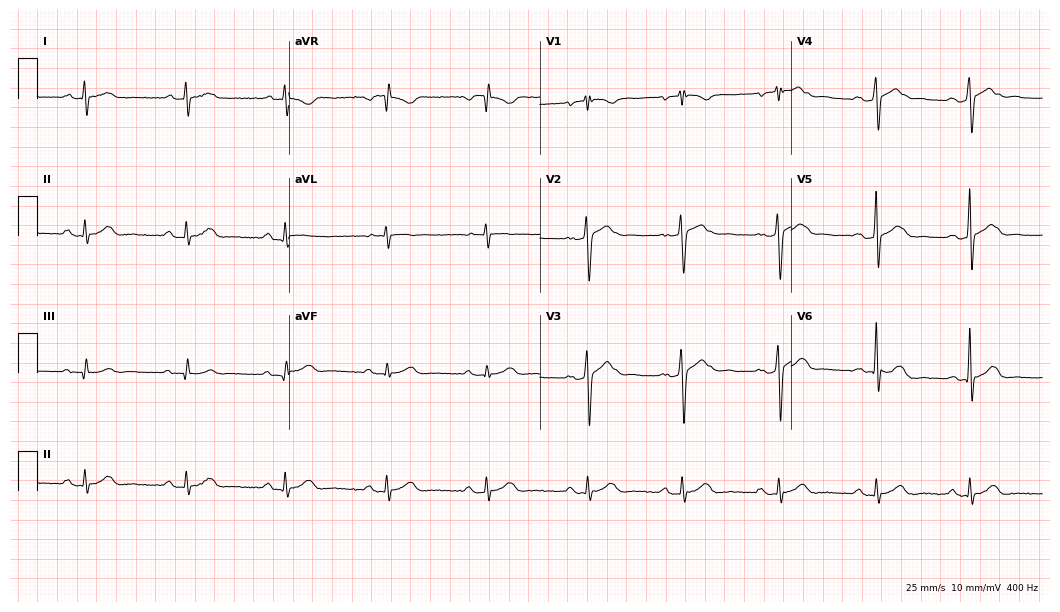
12-lead ECG (10.2-second recording at 400 Hz) from a man, 37 years old. Screened for six findings — first-degree AV block, right bundle branch block (RBBB), left bundle branch block (LBBB), sinus bradycardia, atrial fibrillation (AF), sinus tachycardia — none is recorded. Findings outside these six are not listed.